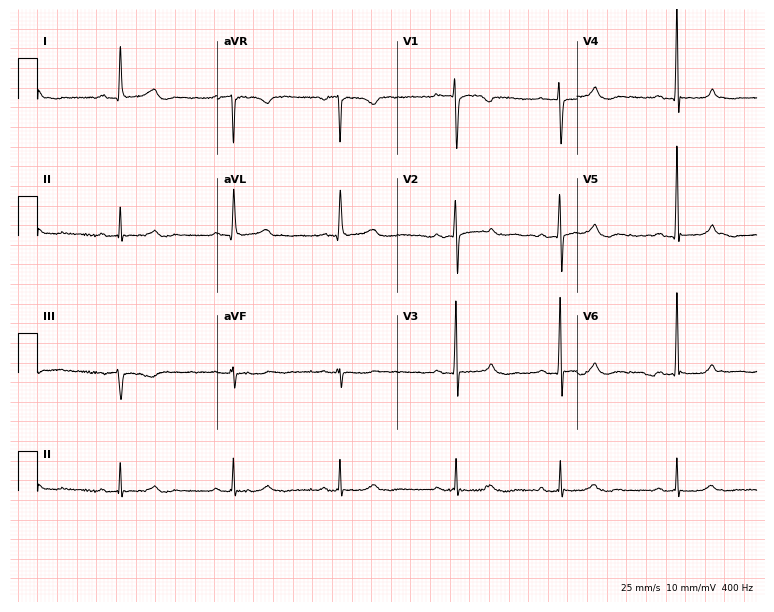
12-lead ECG from a female patient, 56 years old. No first-degree AV block, right bundle branch block, left bundle branch block, sinus bradycardia, atrial fibrillation or sinus tachycardia recorded for this tracing. Other findings, if any, are not listed.